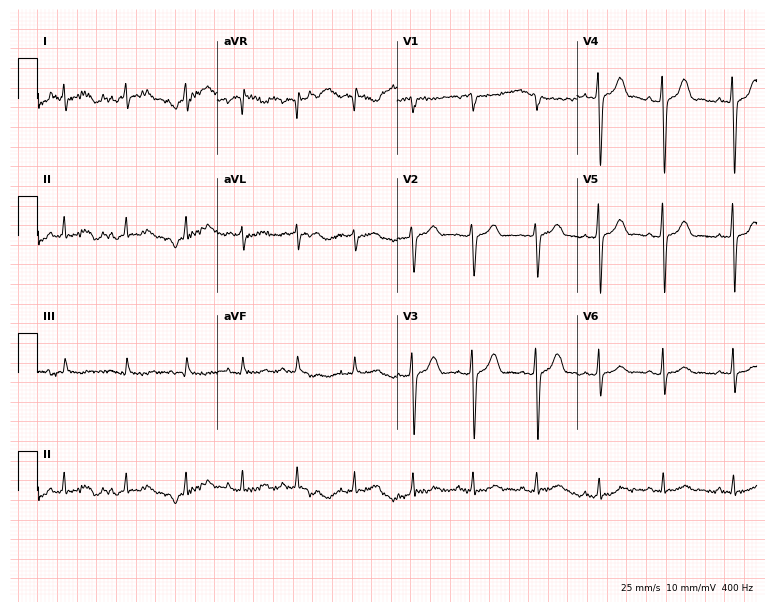
Standard 12-lead ECG recorded from a 34-year-old female patient (7.3-second recording at 400 Hz). Read as a normal ECG.